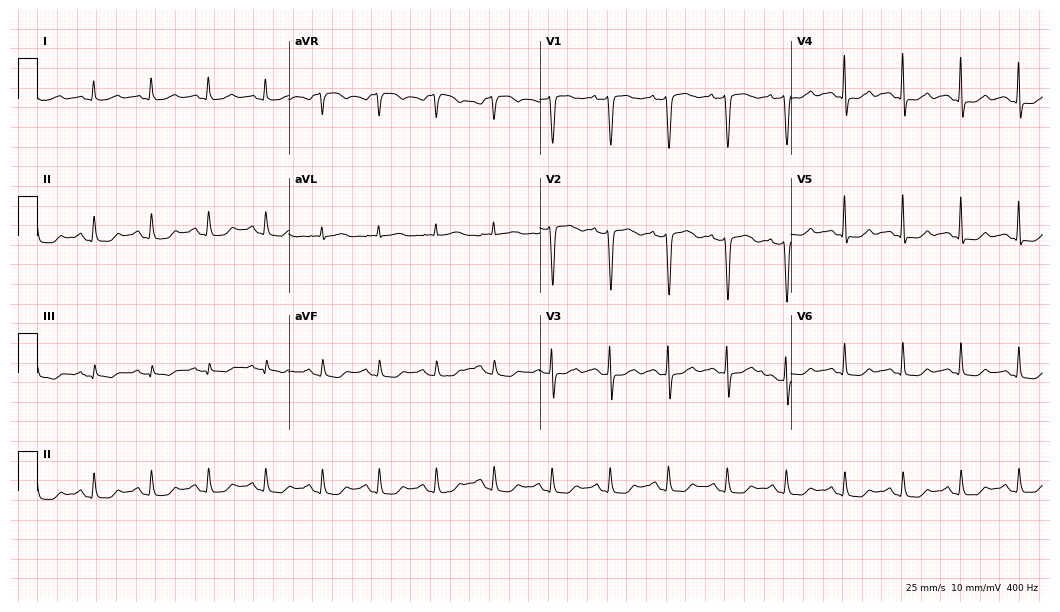
Electrocardiogram (10.2-second recording at 400 Hz), a 68-year-old female. Interpretation includes sinus tachycardia (a sinus rate of 100 beats per minute or more).